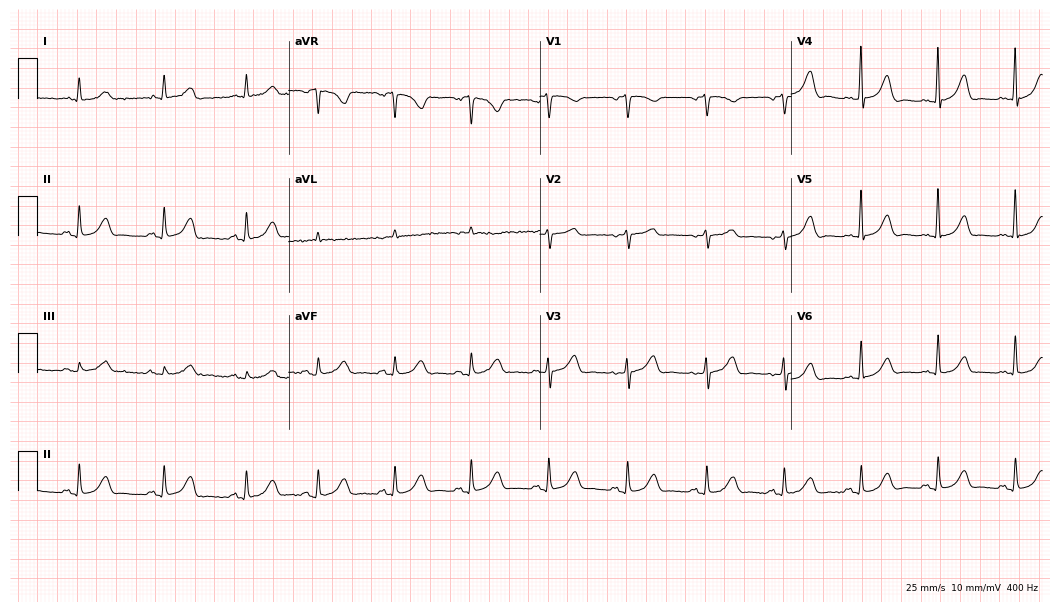
Standard 12-lead ECG recorded from an 80-year-old woman (10.2-second recording at 400 Hz). Read as a normal ECG.